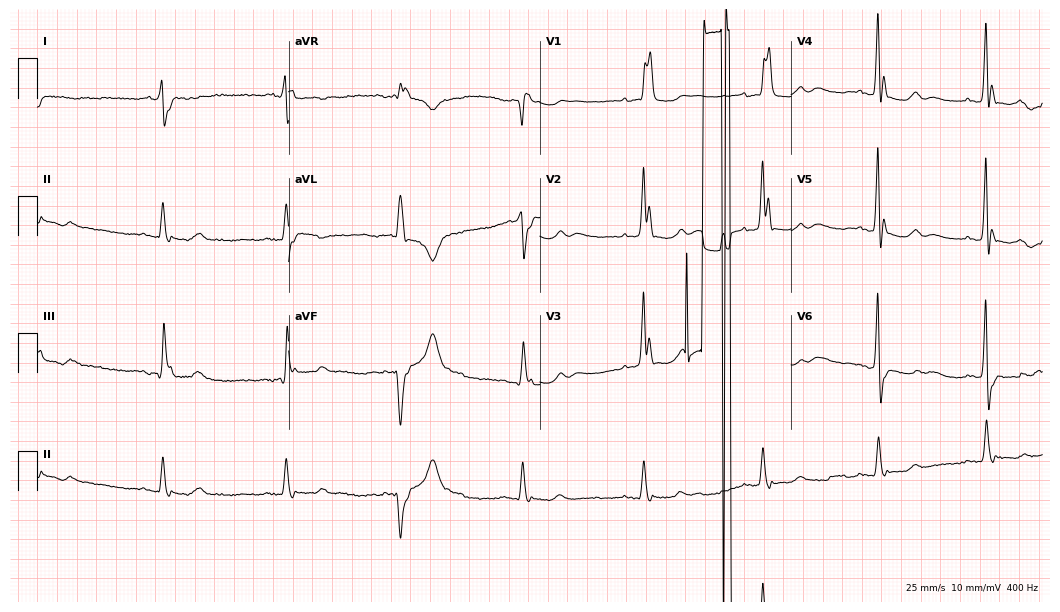
12-lead ECG (10.2-second recording at 400 Hz) from a 67-year-old male patient. Findings include right bundle branch block.